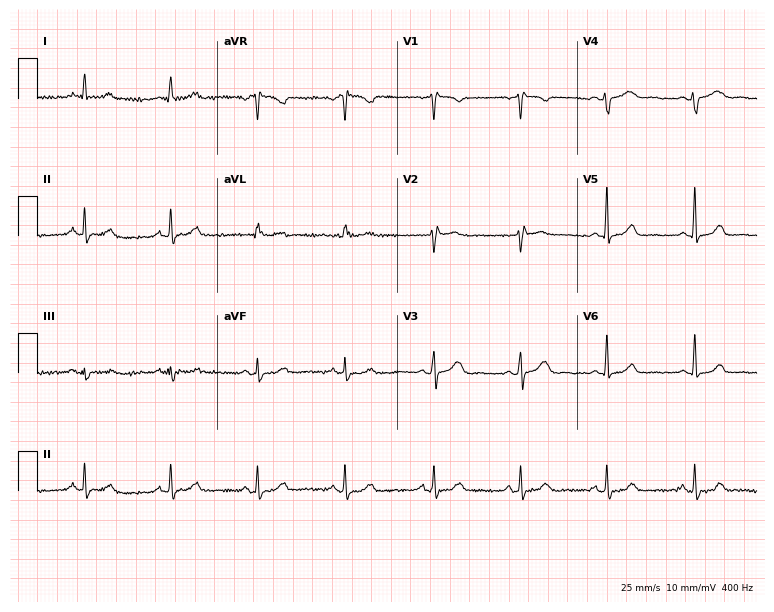
12-lead ECG from a 67-year-old female (7.3-second recording at 400 Hz). Recorded interpretation: within normal limits.